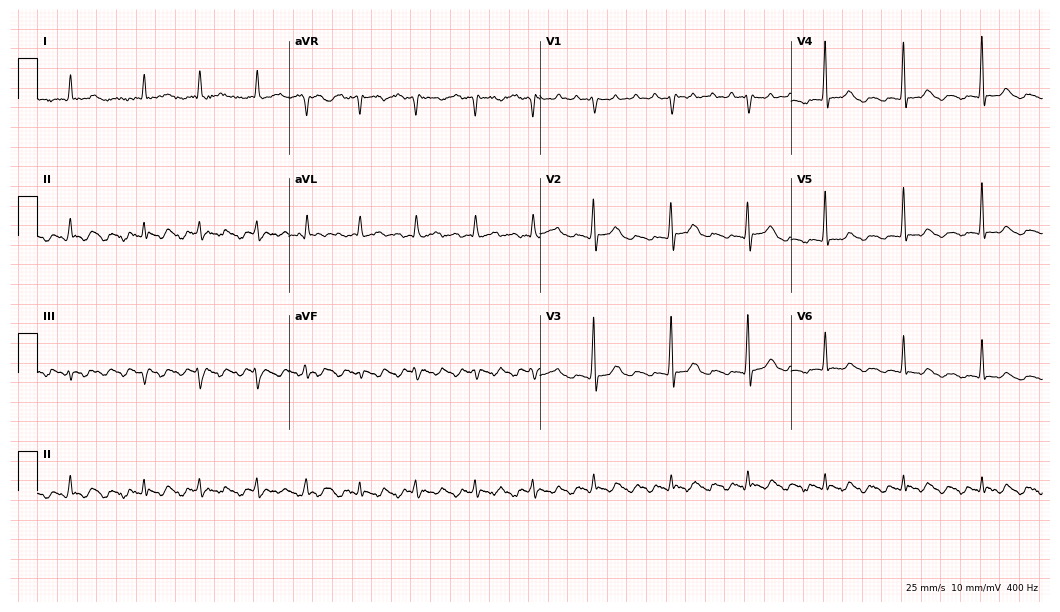
12-lead ECG from a 75-year-old man (10.2-second recording at 400 Hz). No first-degree AV block, right bundle branch block (RBBB), left bundle branch block (LBBB), sinus bradycardia, atrial fibrillation (AF) or sinus tachycardia recorded for this tracing. Findings outside these six are not listed.